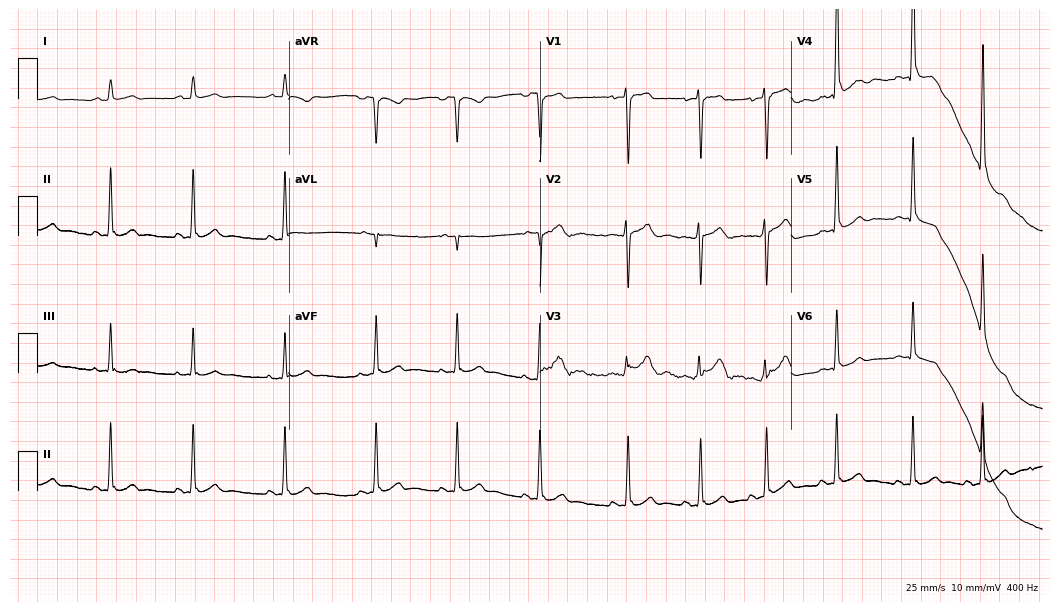
Electrocardiogram, a male, 20 years old. Overall reading on record: normal ECG.